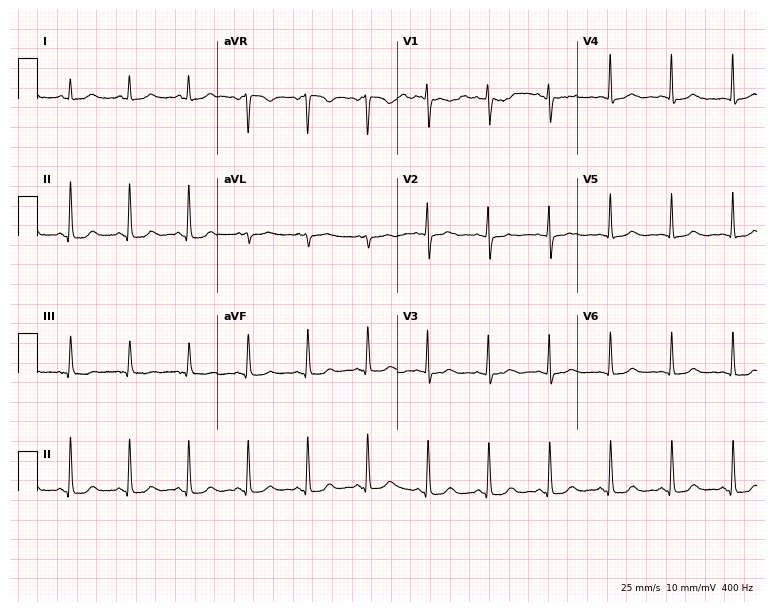
Standard 12-lead ECG recorded from a 47-year-old woman (7.3-second recording at 400 Hz). Read as a normal ECG.